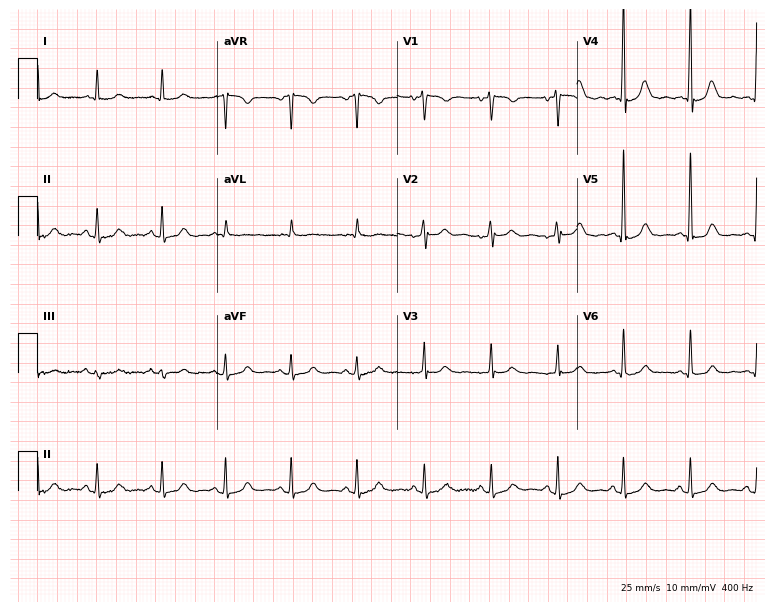
ECG — a 72-year-old man. Labelled as a normal ECG.